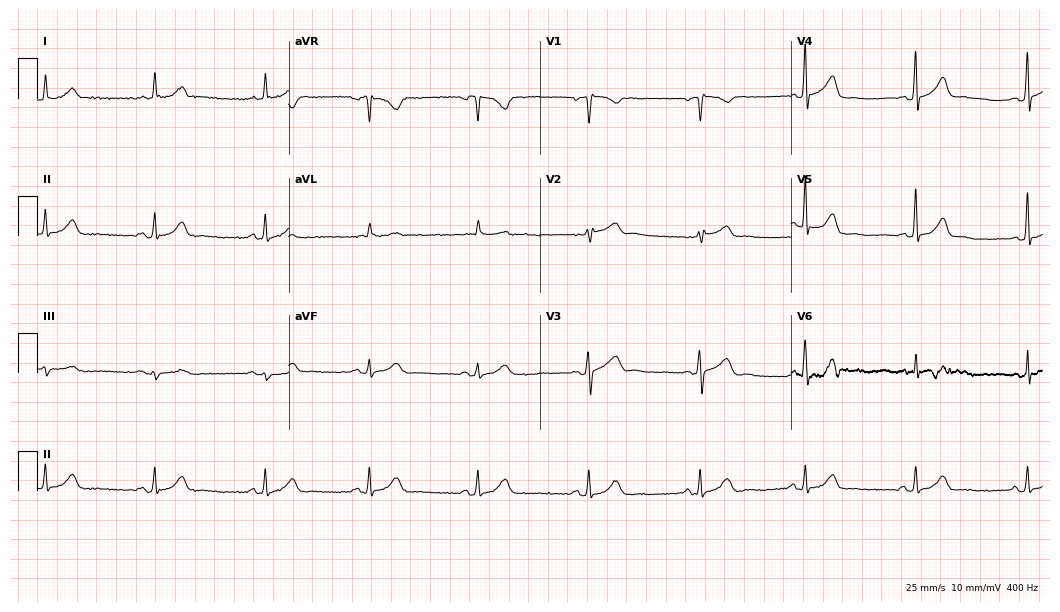
12-lead ECG (10.2-second recording at 400 Hz) from a 51-year-old male patient. Labelled as a normal ECG.